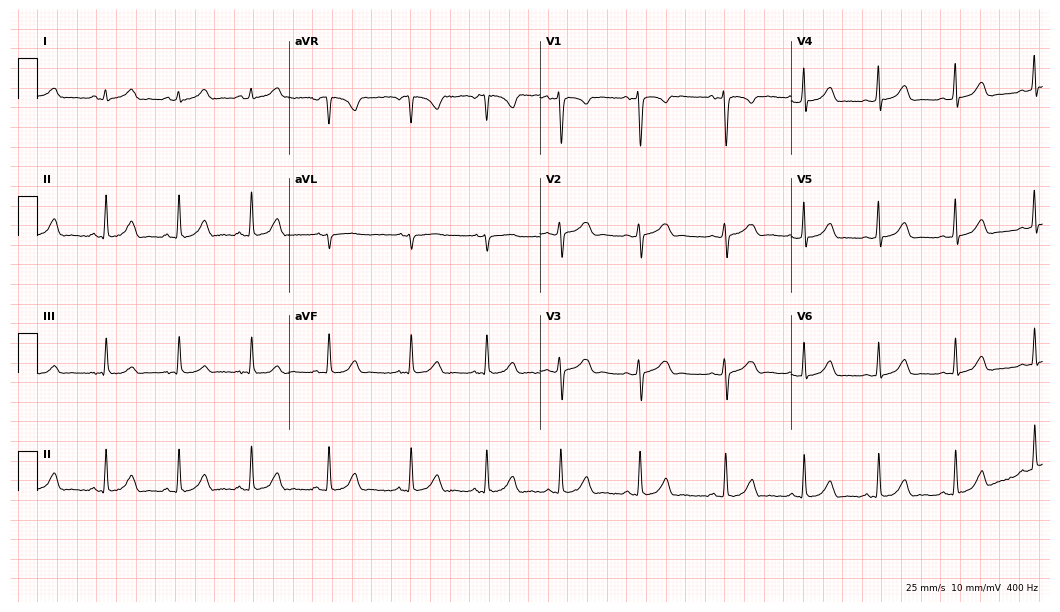
Electrocardiogram (10.2-second recording at 400 Hz), a woman, 17 years old. Overall reading on record: normal ECG.